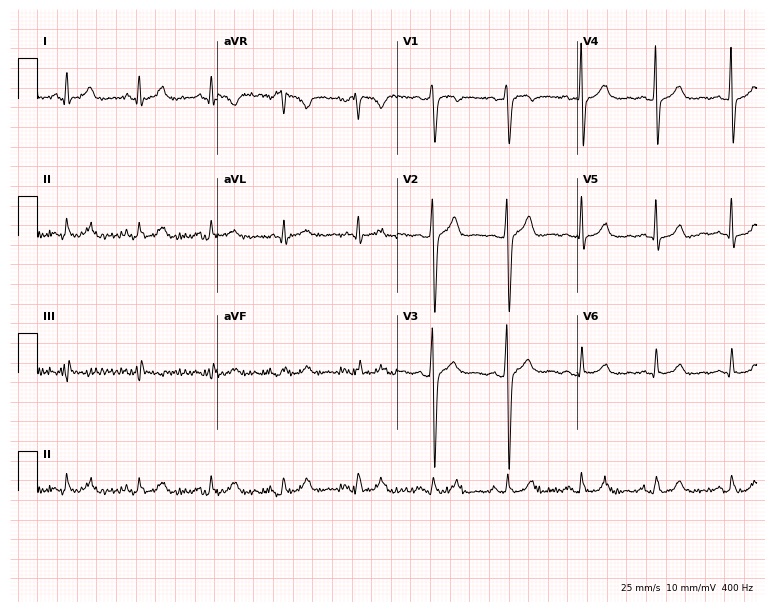
Standard 12-lead ECG recorded from a 23-year-old male (7.3-second recording at 400 Hz). None of these six findings is recorded: first-degree AV block, right bundle branch block (RBBB), left bundle branch block (LBBB), sinus bradycardia, atrial fibrillation (AF), sinus tachycardia. Findings outside these six are not listed.